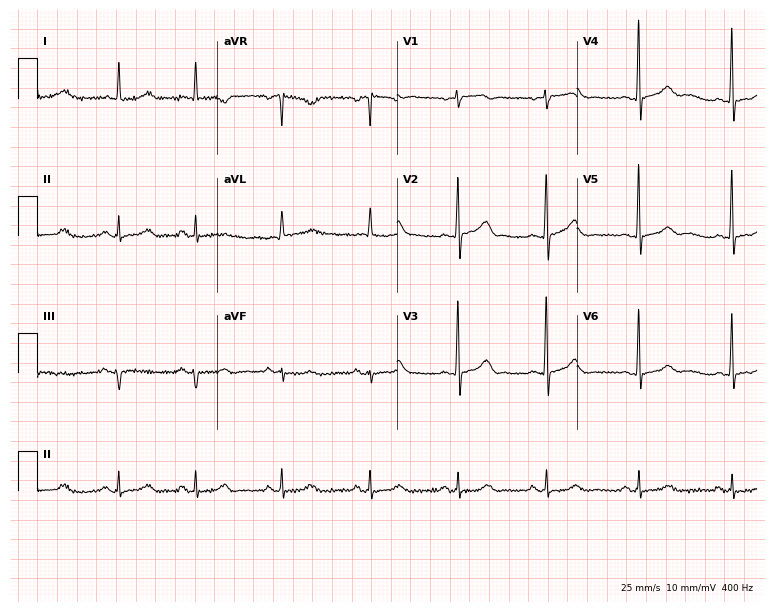
ECG — a woman, 79 years old. Labelled as a normal ECG.